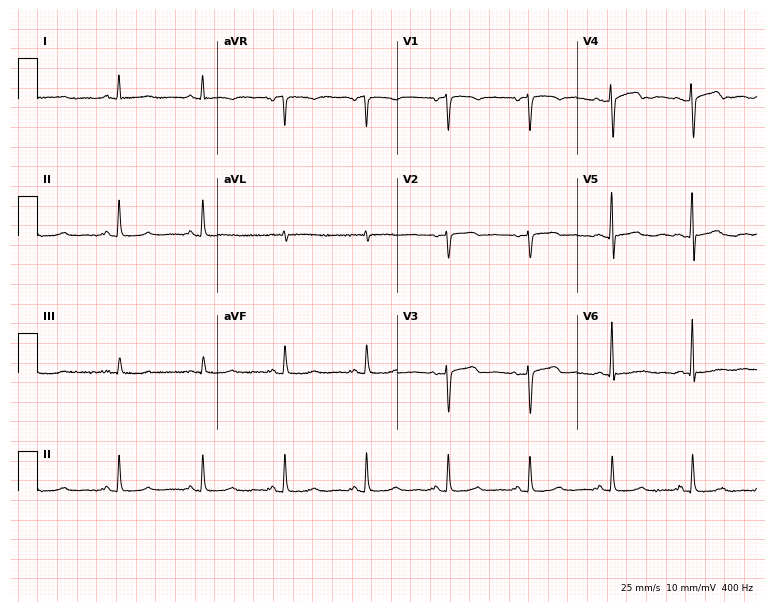
Electrocardiogram, a female, 58 years old. Of the six screened findings (first-degree AV block, right bundle branch block, left bundle branch block, sinus bradycardia, atrial fibrillation, sinus tachycardia), none is recorded.